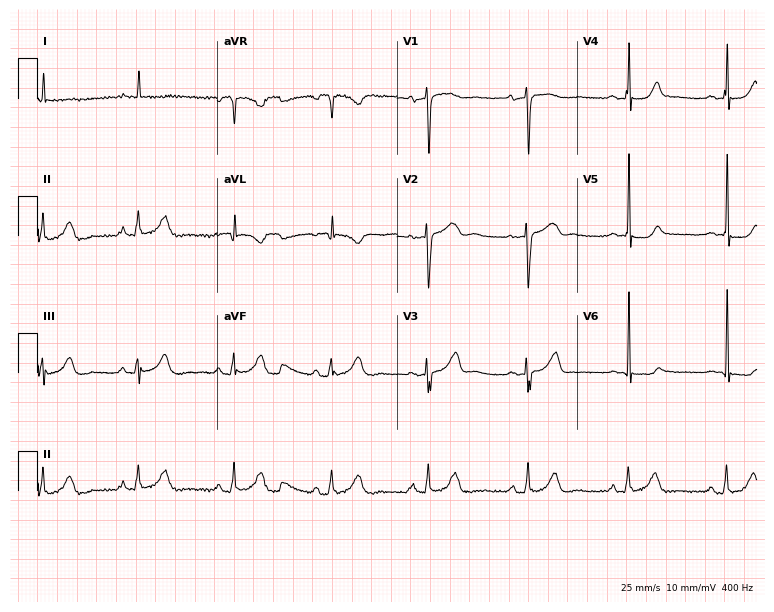
Standard 12-lead ECG recorded from a man, 70 years old (7.3-second recording at 400 Hz). None of these six findings is recorded: first-degree AV block, right bundle branch block, left bundle branch block, sinus bradycardia, atrial fibrillation, sinus tachycardia. Only these six findings were labelled.